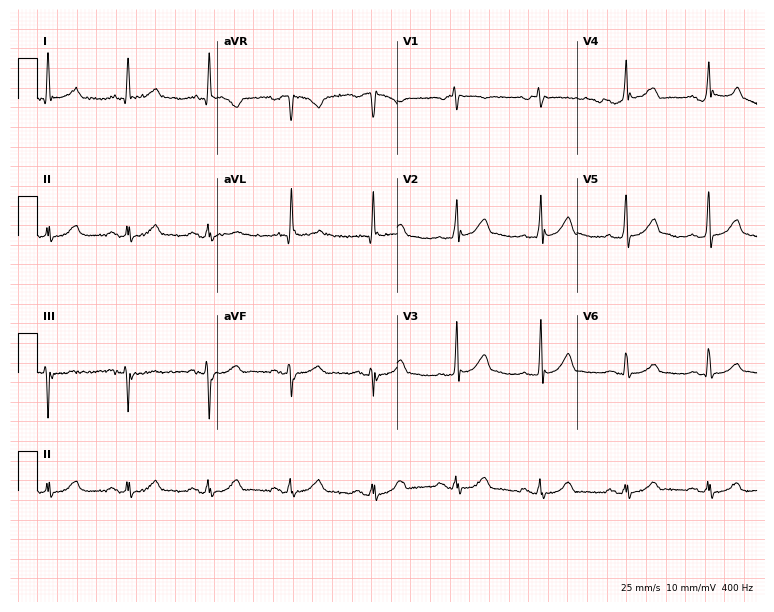
Resting 12-lead electrocardiogram. Patient: a male, 60 years old. Read as a normal ECG.